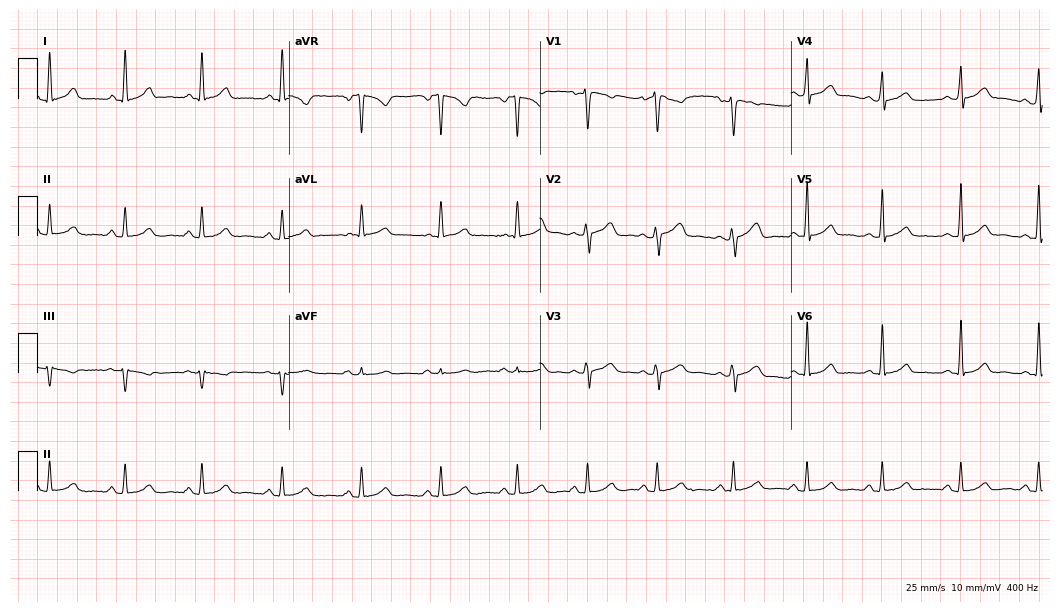
ECG — a woman, 31 years old. Screened for six findings — first-degree AV block, right bundle branch block, left bundle branch block, sinus bradycardia, atrial fibrillation, sinus tachycardia — none is recorded. Only these six findings were labelled.